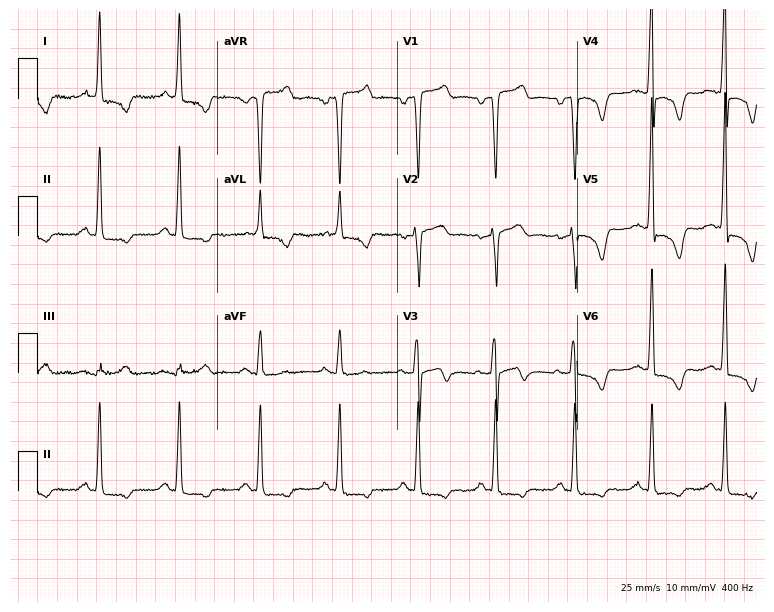
Electrocardiogram (7.3-second recording at 400 Hz), a woman, 74 years old. Of the six screened findings (first-degree AV block, right bundle branch block (RBBB), left bundle branch block (LBBB), sinus bradycardia, atrial fibrillation (AF), sinus tachycardia), none is recorded. Only these six findings were labelled.